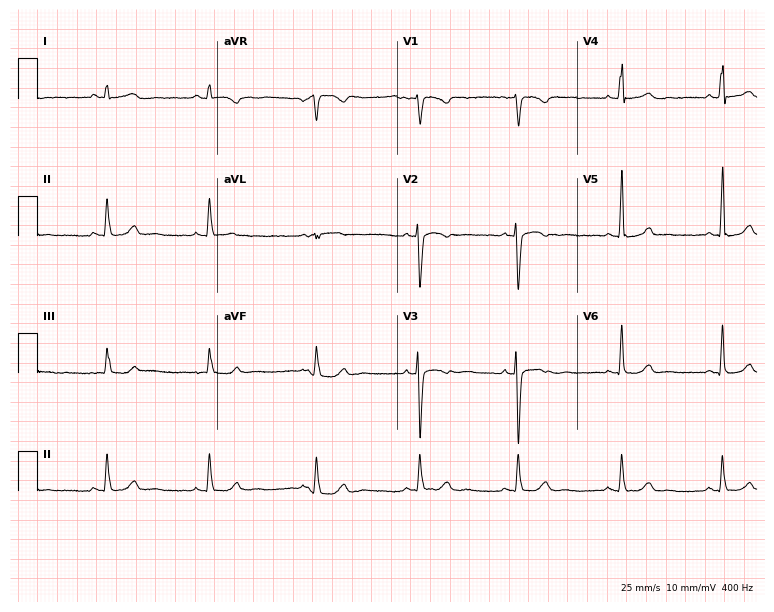
ECG (7.3-second recording at 400 Hz) — a 31-year-old female patient. Labelled as a normal ECG.